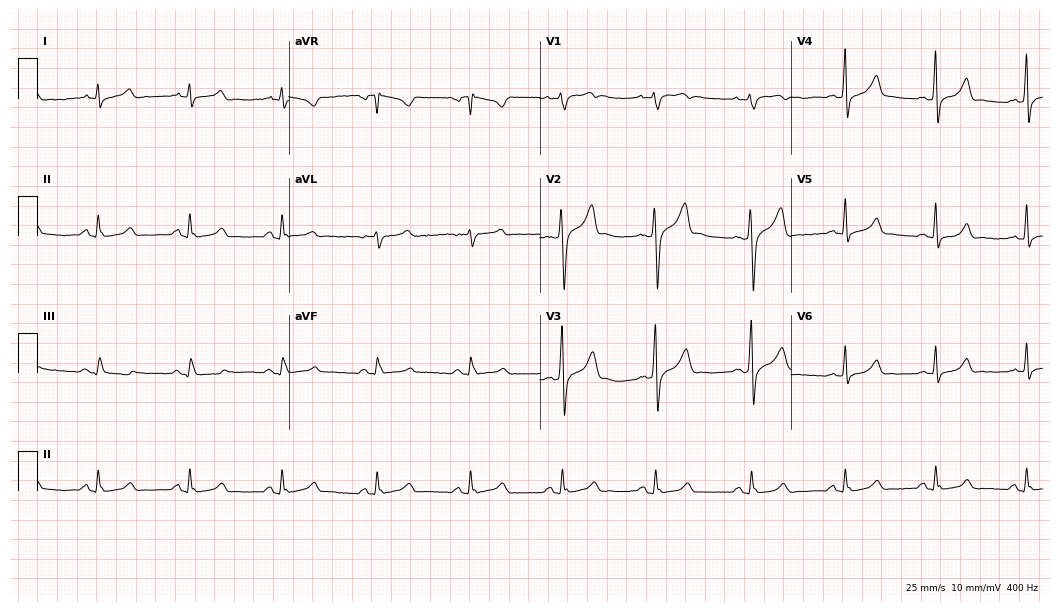
Resting 12-lead electrocardiogram. Patient: a male, 30 years old. Read as a normal ECG.